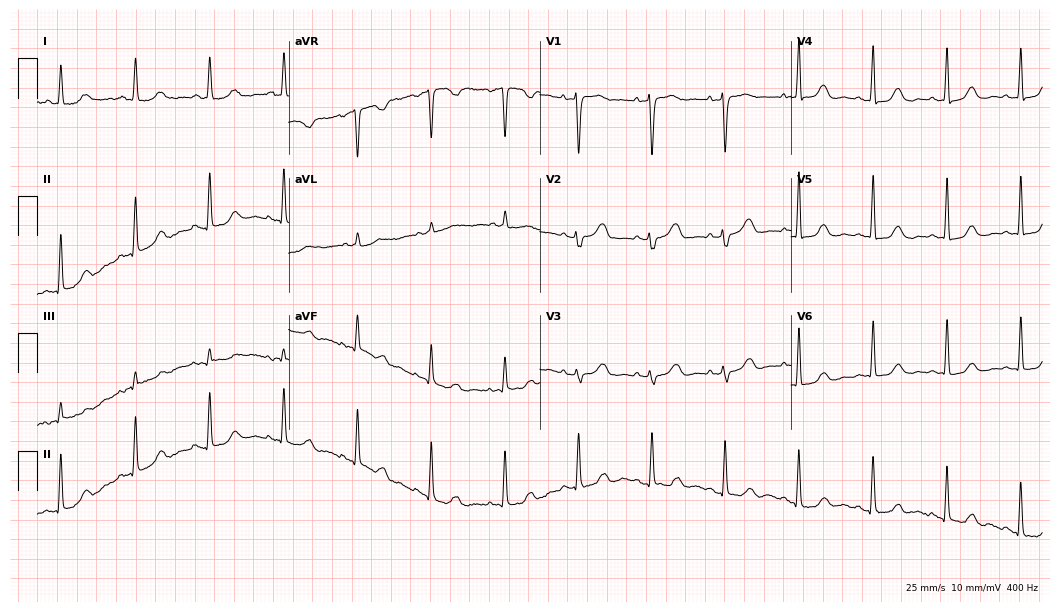
Standard 12-lead ECG recorded from a 68-year-old female patient. Read as a normal ECG.